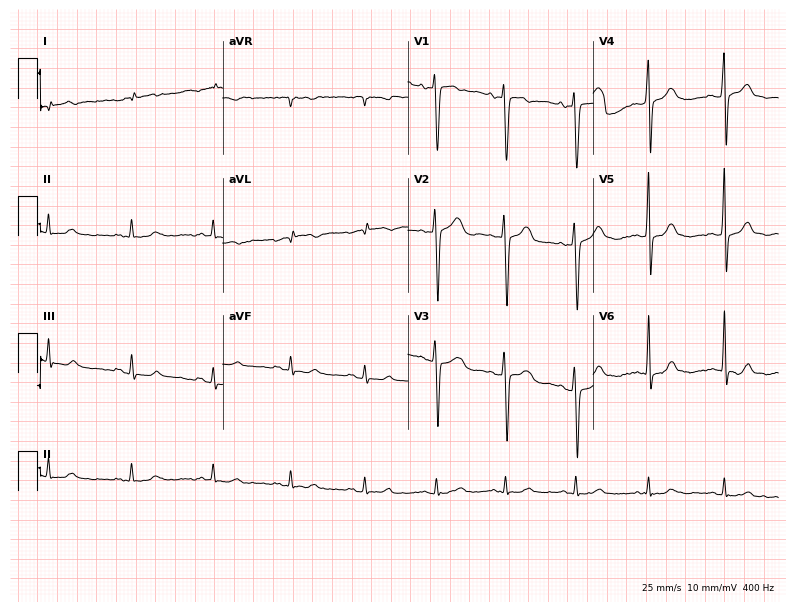
12-lead ECG (7.6-second recording at 400 Hz) from a female, 44 years old. Labelled as a normal ECG.